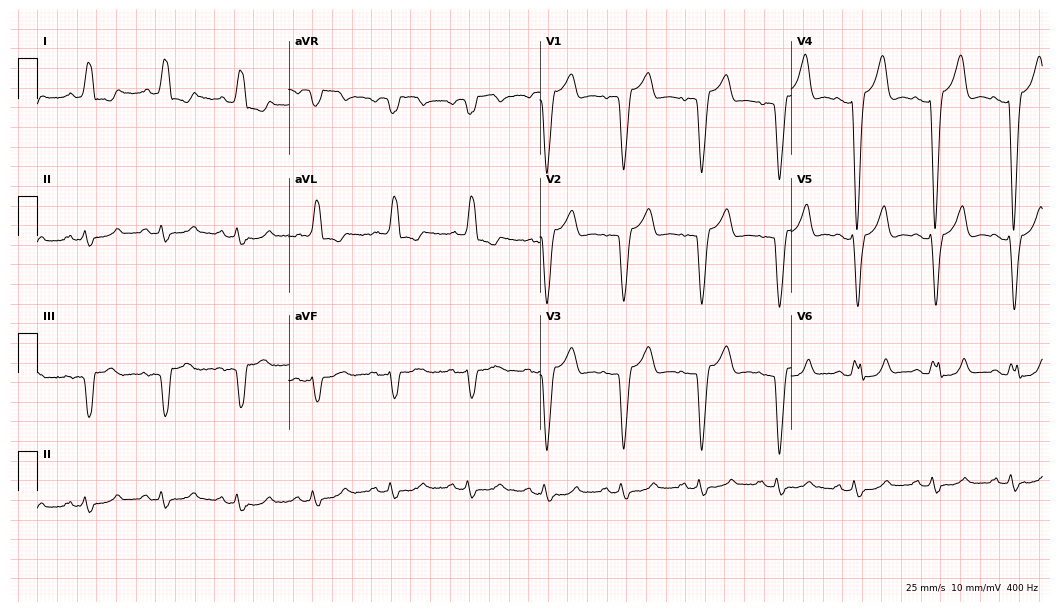
ECG — a woman, 79 years old. Findings include left bundle branch block.